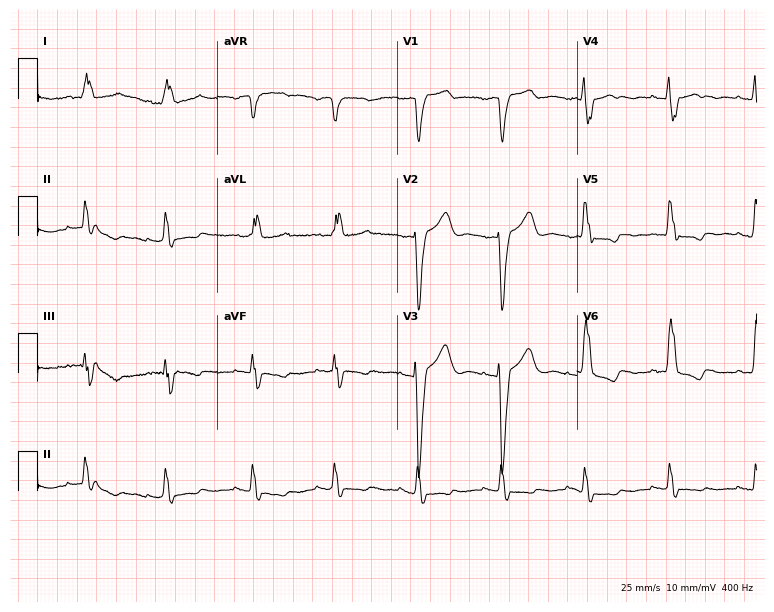
Resting 12-lead electrocardiogram (7.3-second recording at 400 Hz). Patient: a female, 64 years old. None of these six findings is recorded: first-degree AV block, right bundle branch block (RBBB), left bundle branch block (LBBB), sinus bradycardia, atrial fibrillation (AF), sinus tachycardia.